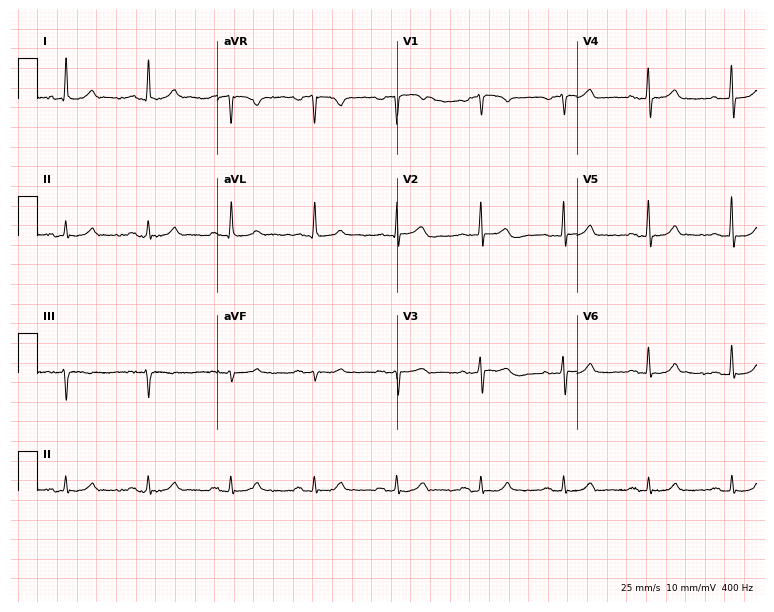
Electrocardiogram, a male patient, 75 years old. Overall reading on record: normal ECG.